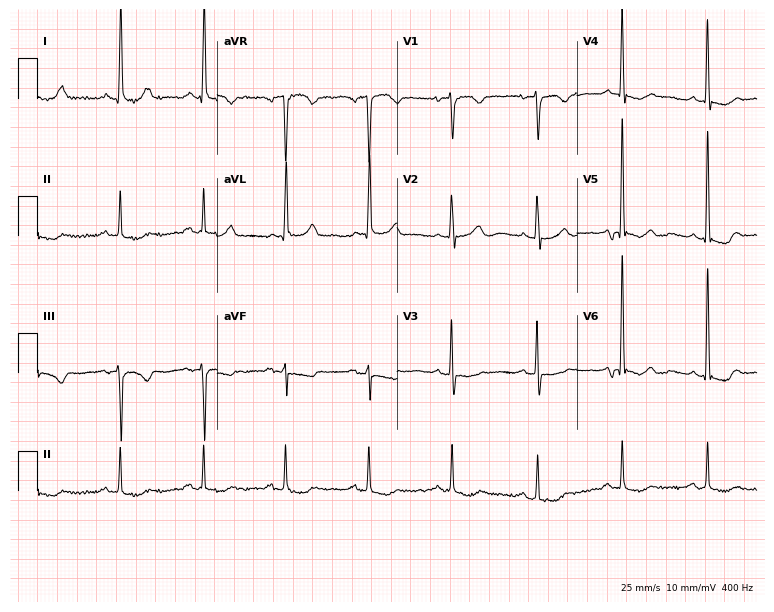
12-lead ECG from a 69-year-old female (7.3-second recording at 400 Hz). No first-degree AV block, right bundle branch block, left bundle branch block, sinus bradycardia, atrial fibrillation or sinus tachycardia recorded for this tracing.